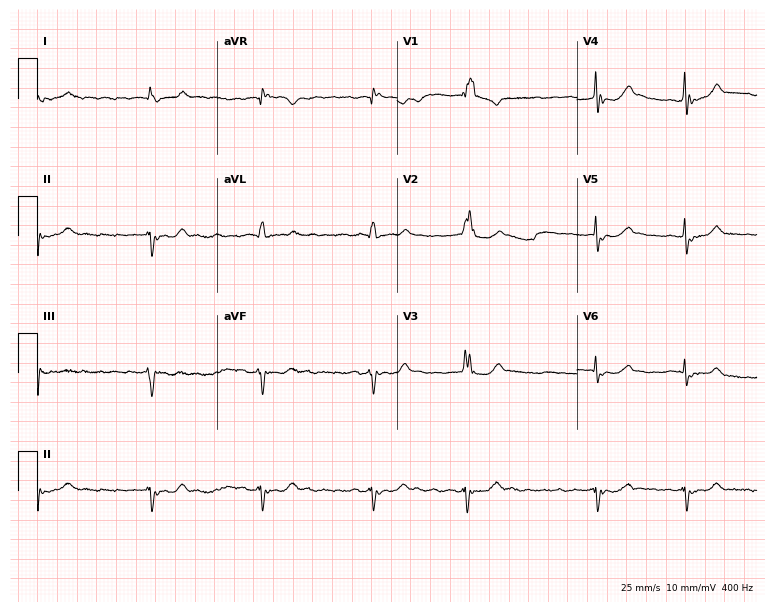
Standard 12-lead ECG recorded from an 80-year-old female. None of these six findings is recorded: first-degree AV block, right bundle branch block (RBBB), left bundle branch block (LBBB), sinus bradycardia, atrial fibrillation (AF), sinus tachycardia. Findings outside these six are not listed.